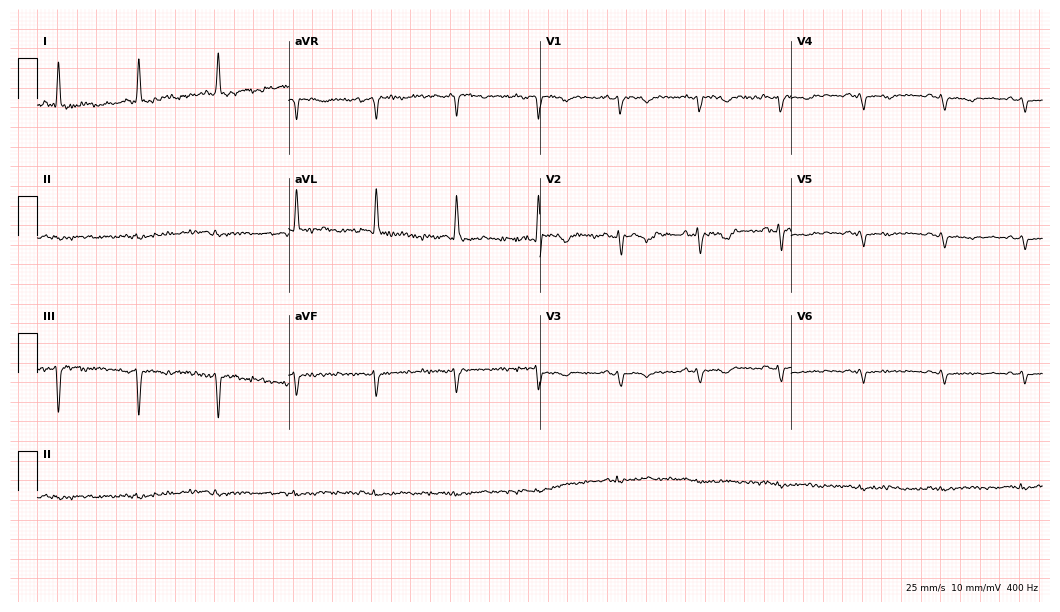
Electrocardiogram, a 71-year-old woman. Of the six screened findings (first-degree AV block, right bundle branch block (RBBB), left bundle branch block (LBBB), sinus bradycardia, atrial fibrillation (AF), sinus tachycardia), none is recorded.